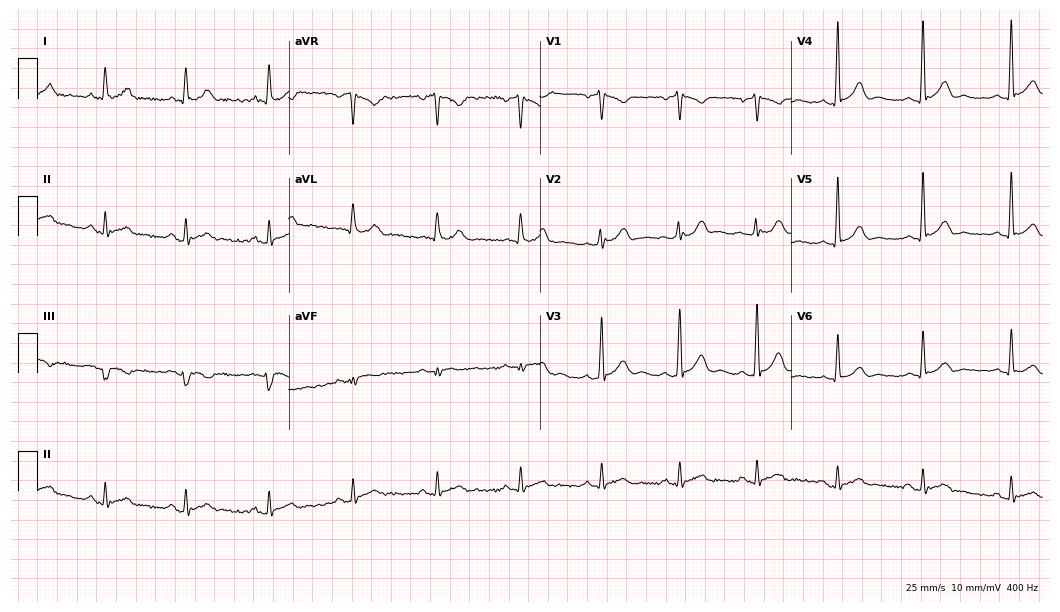
12-lead ECG from a 35-year-old man. Labelled as a normal ECG.